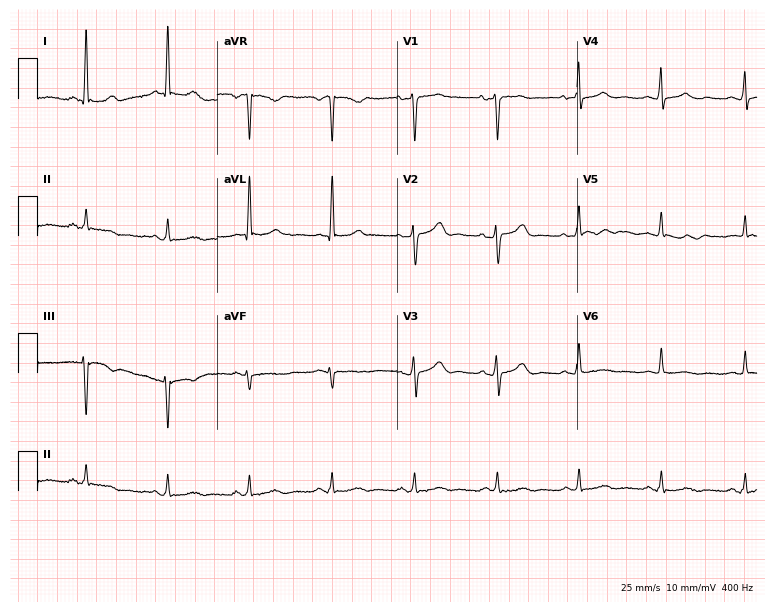
Resting 12-lead electrocardiogram. Patient: a 73-year-old woman. None of these six findings is recorded: first-degree AV block, right bundle branch block (RBBB), left bundle branch block (LBBB), sinus bradycardia, atrial fibrillation (AF), sinus tachycardia.